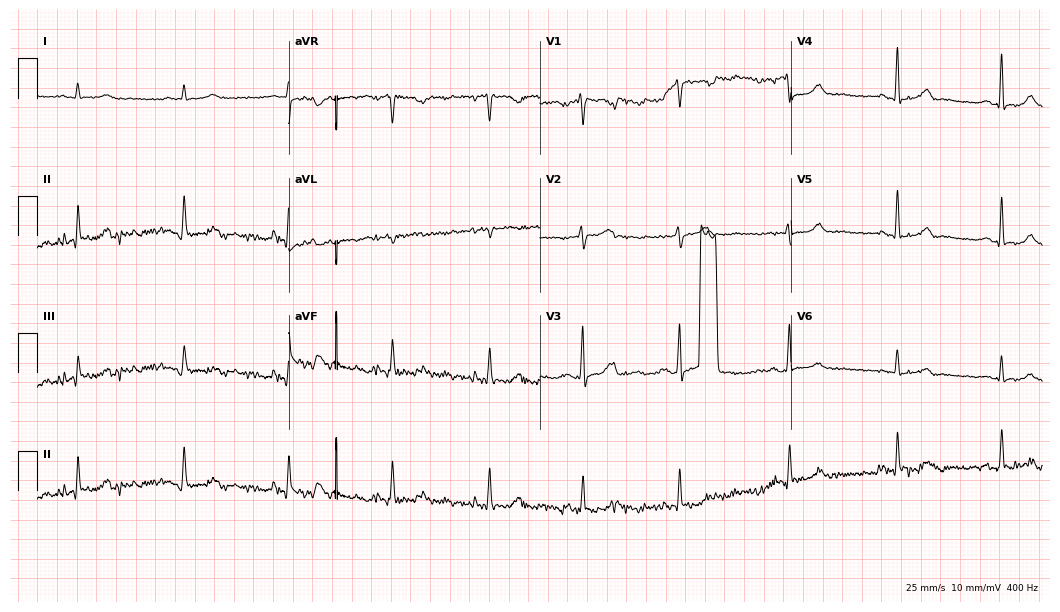
12-lead ECG from a woman, 41 years old. Screened for six findings — first-degree AV block, right bundle branch block (RBBB), left bundle branch block (LBBB), sinus bradycardia, atrial fibrillation (AF), sinus tachycardia — none is recorded. Only these six findings were labelled.